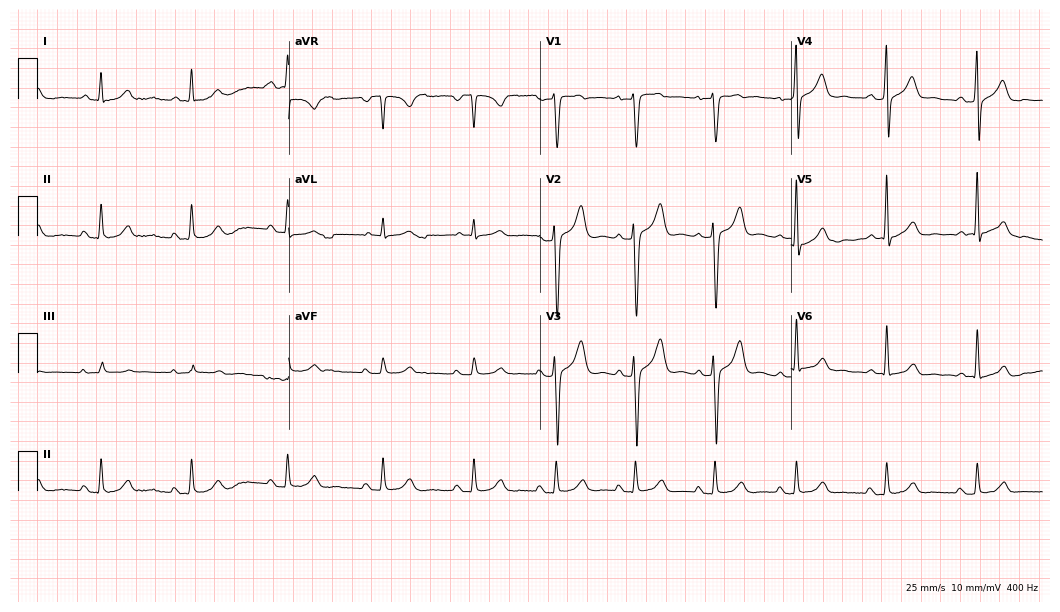
12-lead ECG (10.2-second recording at 400 Hz) from a 44-year-old man. Labelled as a normal ECG.